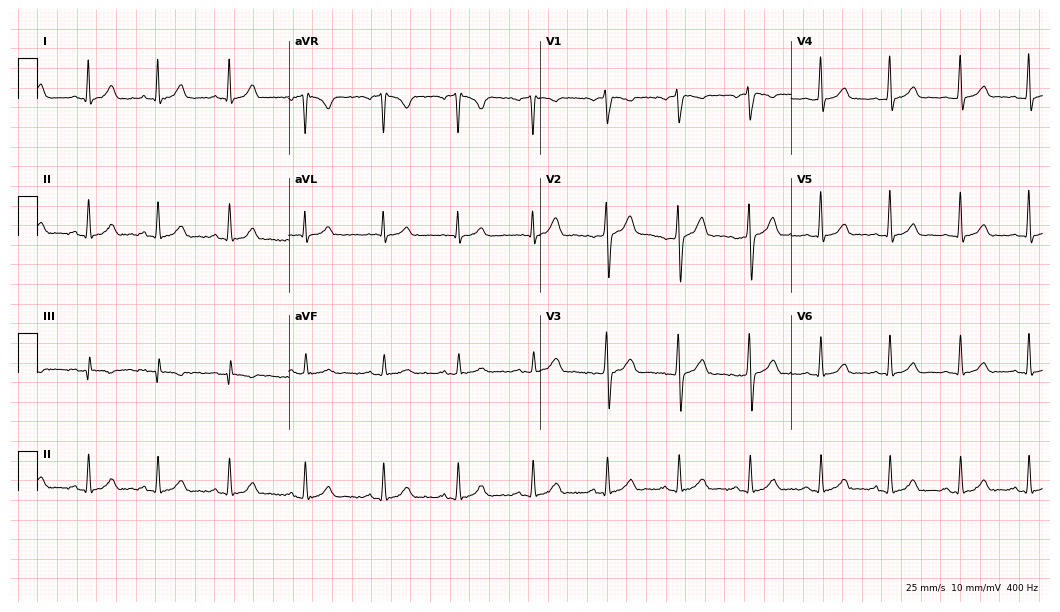
Resting 12-lead electrocardiogram. Patient: a 44-year-old male. None of these six findings is recorded: first-degree AV block, right bundle branch block, left bundle branch block, sinus bradycardia, atrial fibrillation, sinus tachycardia. Other findings, if any, are not listed.